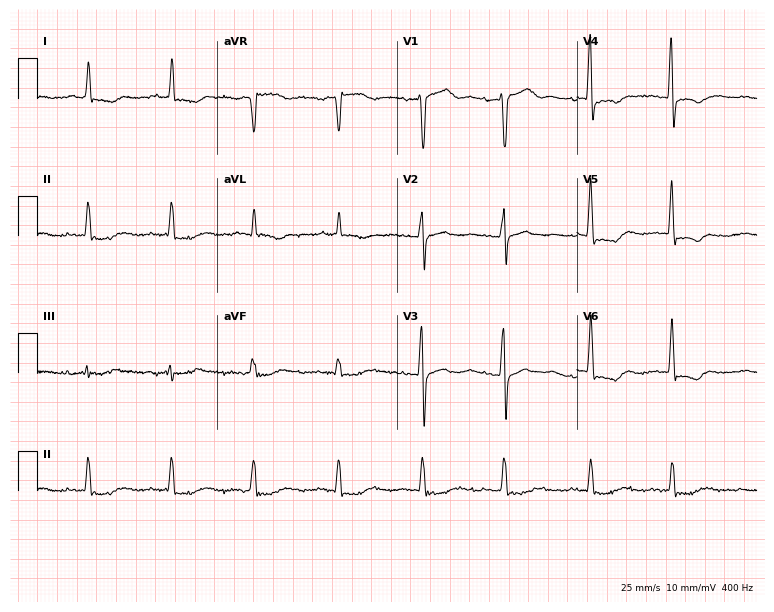
Standard 12-lead ECG recorded from a man, 86 years old. None of these six findings is recorded: first-degree AV block, right bundle branch block (RBBB), left bundle branch block (LBBB), sinus bradycardia, atrial fibrillation (AF), sinus tachycardia. Only these six findings were labelled.